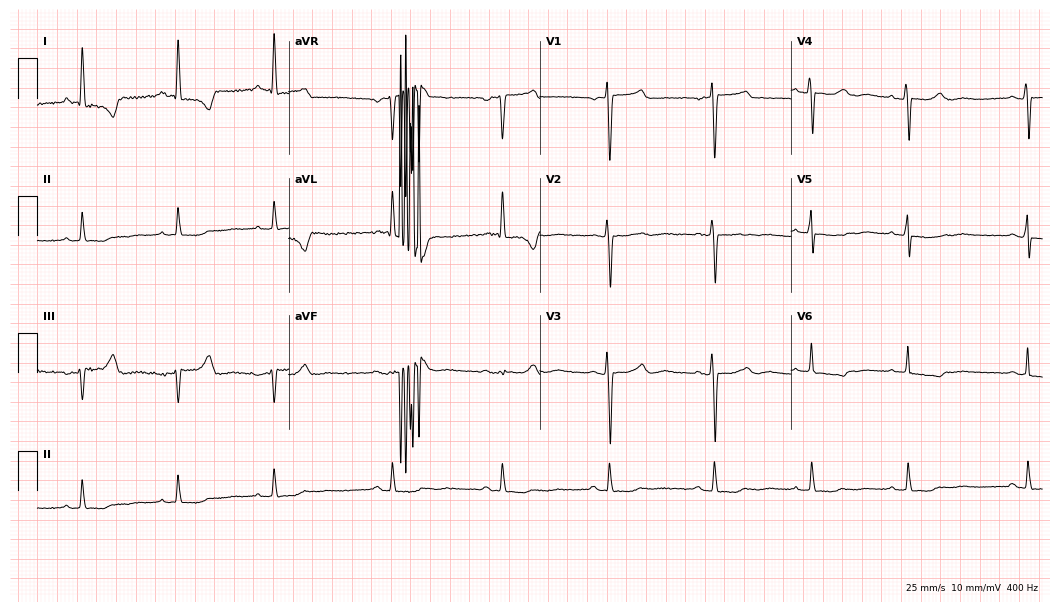
Electrocardiogram, a woman, 69 years old. Of the six screened findings (first-degree AV block, right bundle branch block, left bundle branch block, sinus bradycardia, atrial fibrillation, sinus tachycardia), none is recorded.